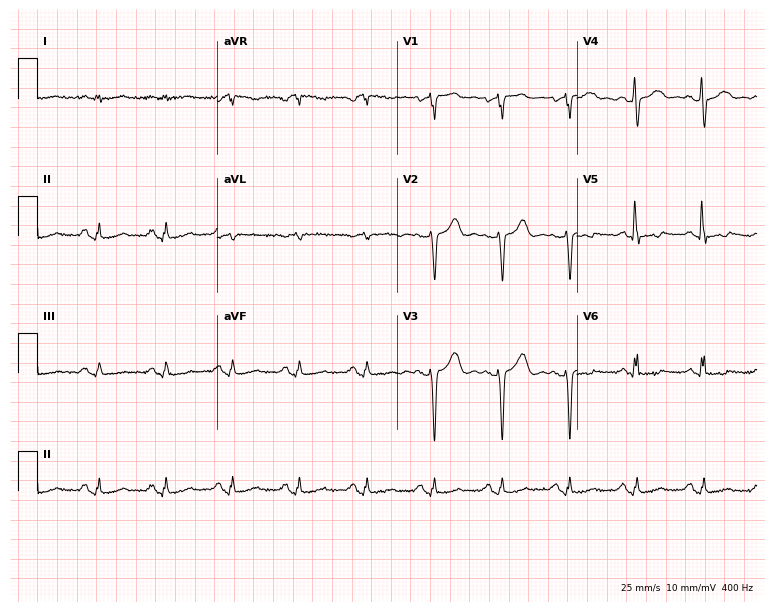
12-lead ECG from a 54-year-old man. No first-degree AV block, right bundle branch block (RBBB), left bundle branch block (LBBB), sinus bradycardia, atrial fibrillation (AF) or sinus tachycardia recorded for this tracing. Findings outside these six are not listed.